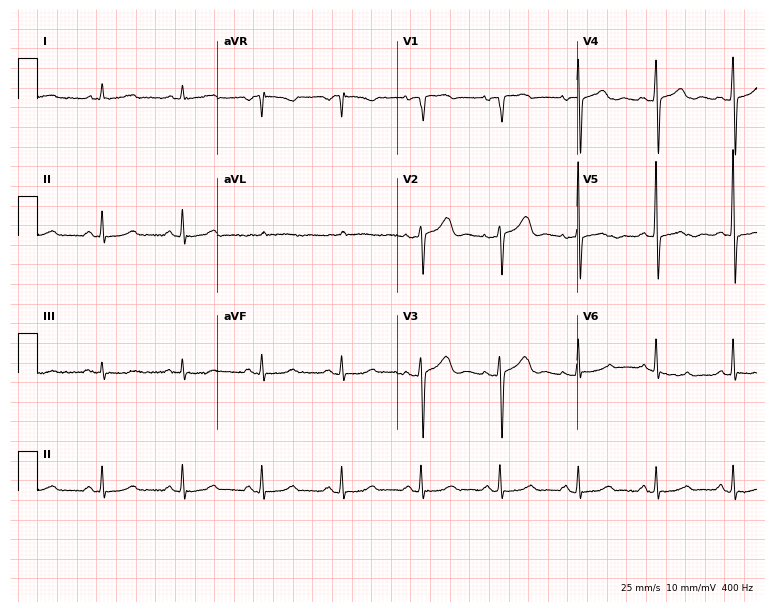
12-lead ECG from a female, 78 years old. Recorded interpretation: within normal limits.